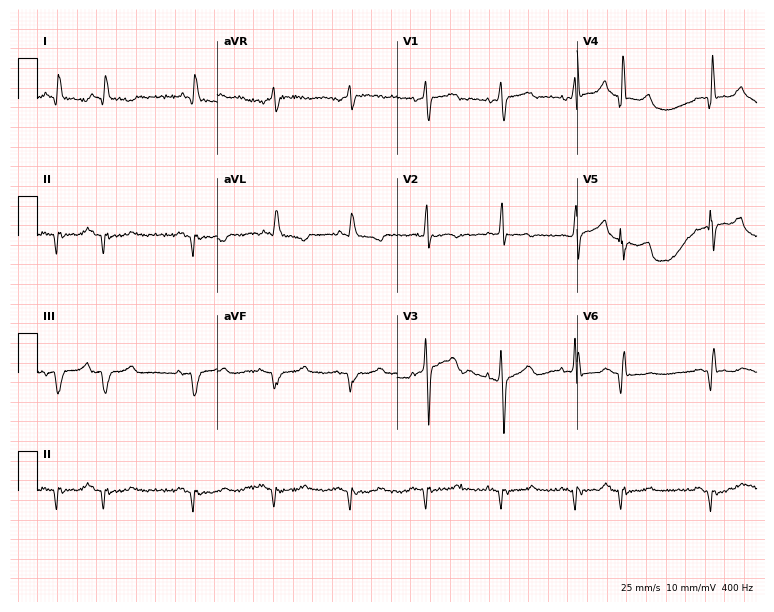
12-lead ECG (7.3-second recording at 400 Hz) from a male patient, 80 years old. Screened for six findings — first-degree AV block, right bundle branch block, left bundle branch block, sinus bradycardia, atrial fibrillation, sinus tachycardia — none is recorded. Findings outside these six are not listed.